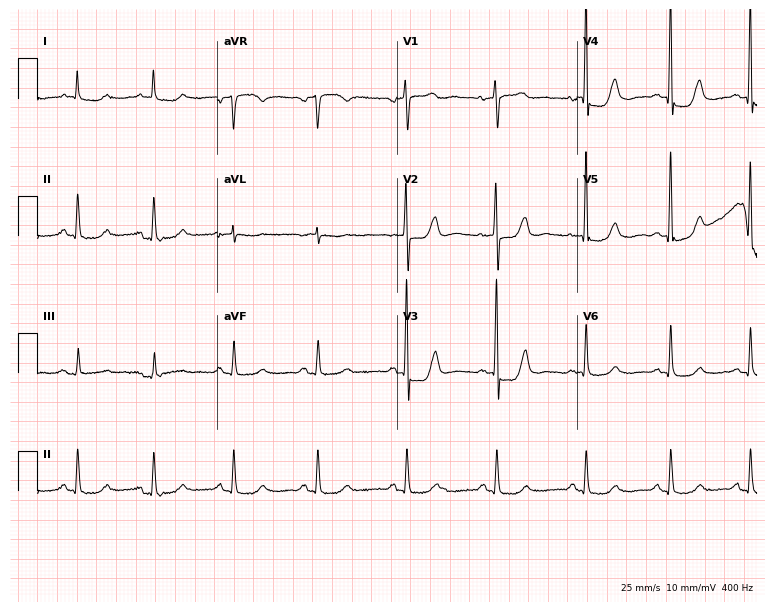
12-lead ECG from a male patient, 85 years old (7.3-second recording at 400 Hz). No first-degree AV block, right bundle branch block (RBBB), left bundle branch block (LBBB), sinus bradycardia, atrial fibrillation (AF) or sinus tachycardia recorded for this tracing.